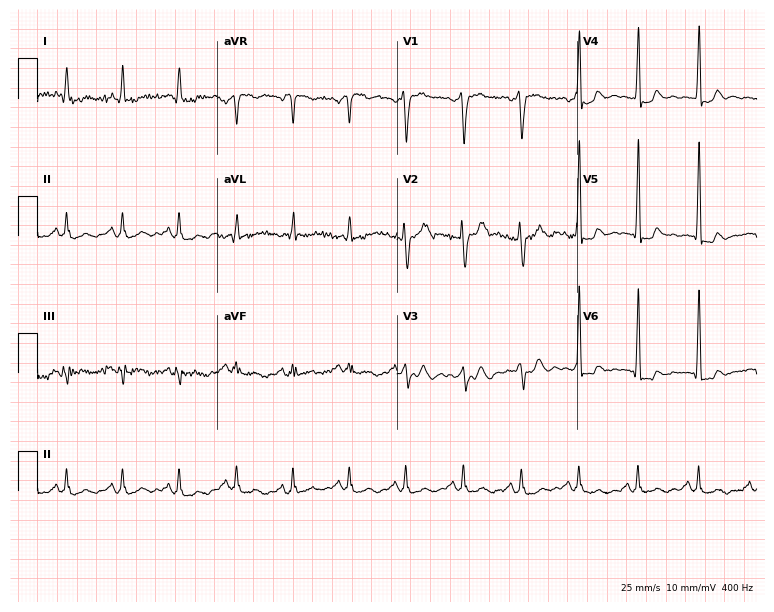
Standard 12-lead ECG recorded from a 56-year-old man (7.3-second recording at 400 Hz). The tracing shows sinus tachycardia (a sinus rate of 100 beats per minute or more).